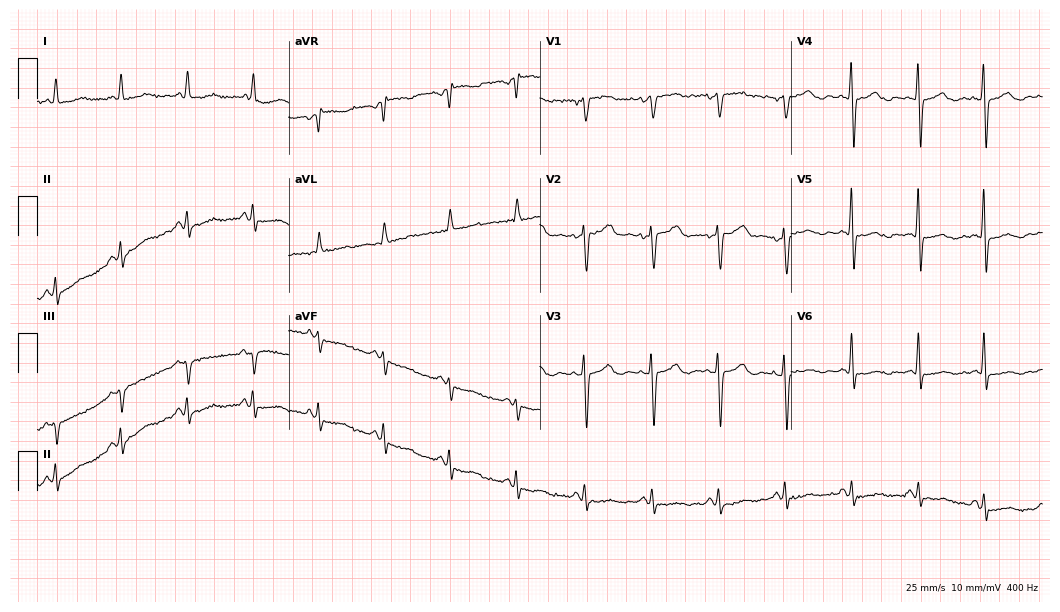
12-lead ECG (10.2-second recording at 400 Hz) from a 60-year-old female. Screened for six findings — first-degree AV block, right bundle branch block (RBBB), left bundle branch block (LBBB), sinus bradycardia, atrial fibrillation (AF), sinus tachycardia — none is recorded.